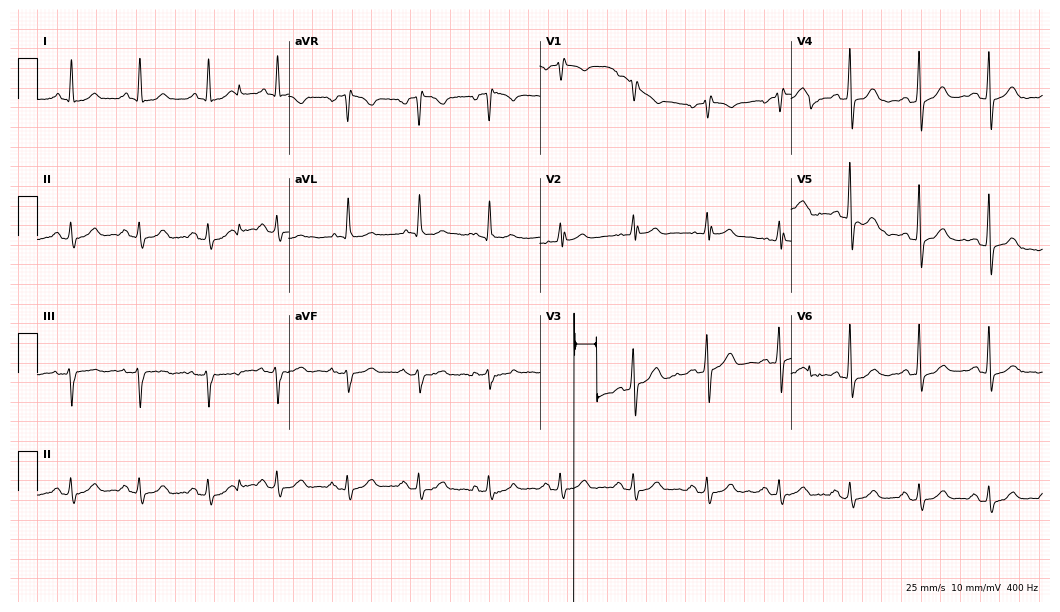
12-lead ECG from a 62-year-old male patient. Screened for six findings — first-degree AV block, right bundle branch block, left bundle branch block, sinus bradycardia, atrial fibrillation, sinus tachycardia — none is recorded.